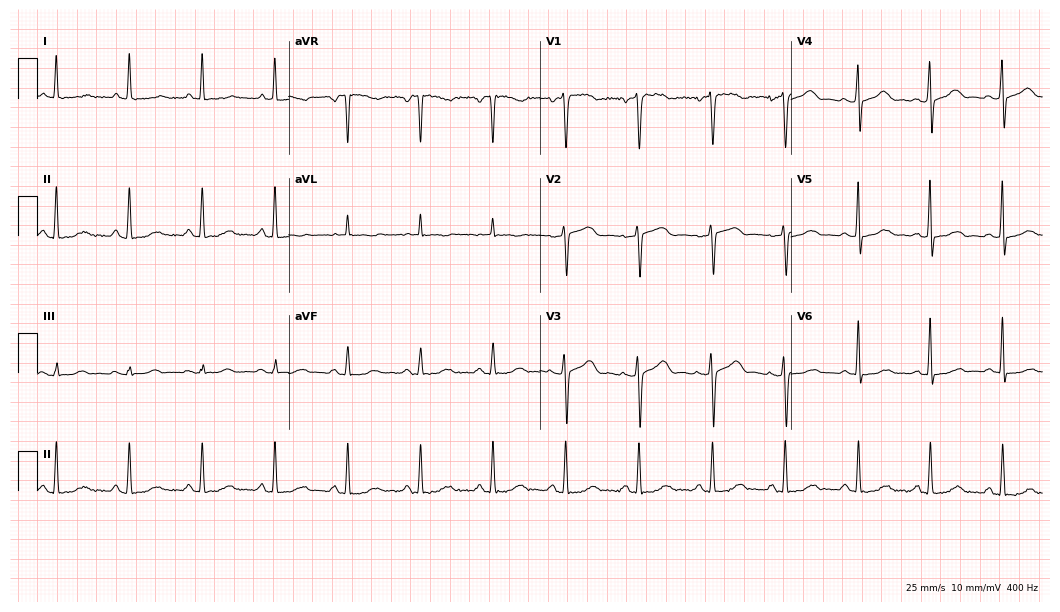
Standard 12-lead ECG recorded from a female patient, 53 years old. None of these six findings is recorded: first-degree AV block, right bundle branch block, left bundle branch block, sinus bradycardia, atrial fibrillation, sinus tachycardia.